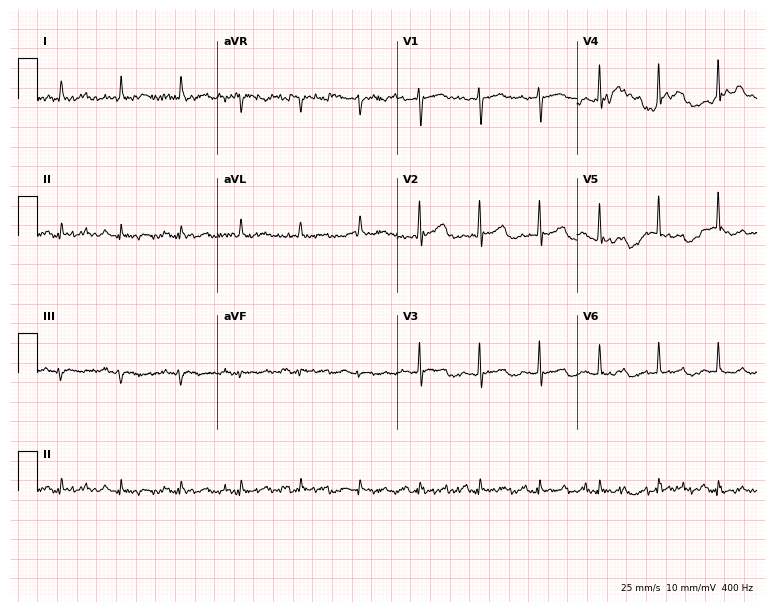
Standard 12-lead ECG recorded from a 64-year-old man. Read as a normal ECG.